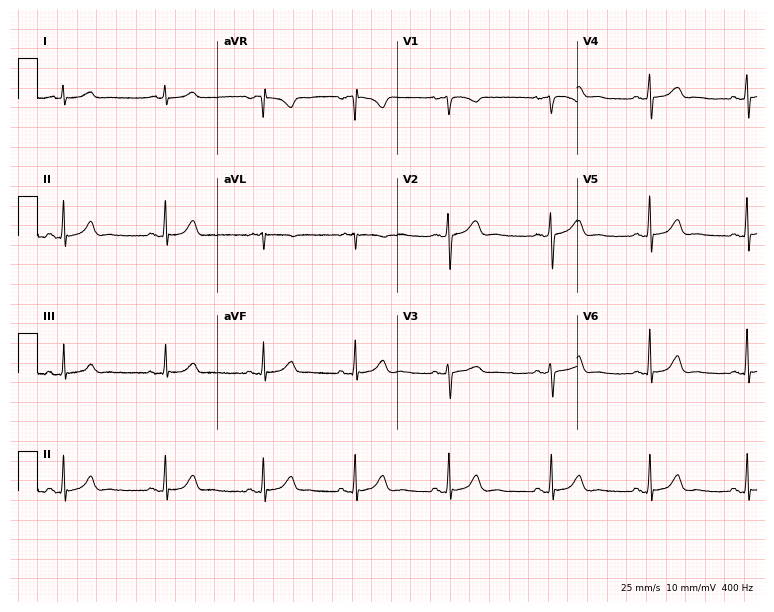
12-lead ECG from a 44-year-old female patient. No first-degree AV block, right bundle branch block, left bundle branch block, sinus bradycardia, atrial fibrillation or sinus tachycardia recorded for this tracing.